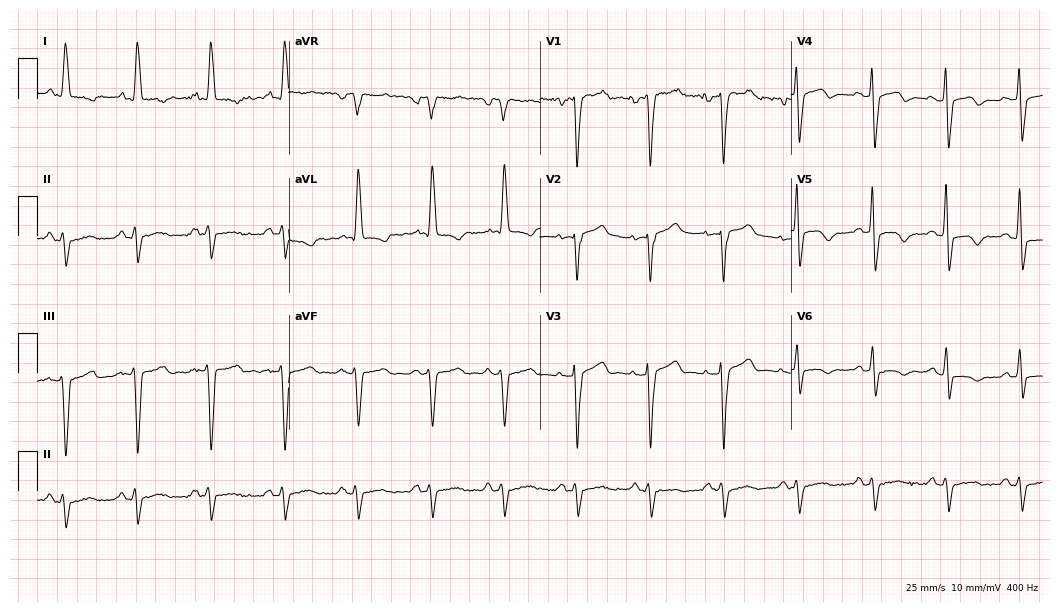
ECG (10.2-second recording at 400 Hz) — an 82-year-old male. Screened for six findings — first-degree AV block, right bundle branch block (RBBB), left bundle branch block (LBBB), sinus bradycardia, atrial fibrillation (AF), sinus tachycardia — none is recorded. Findings outside these six are not listed.